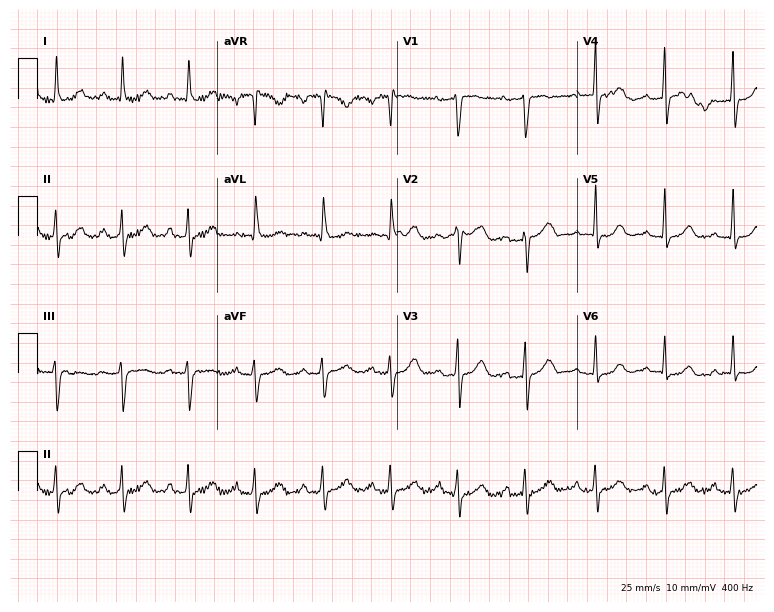
ECG (7.3-second recording at 400 Hz) — a female, 60 years old. Labelled as a normal ECG.